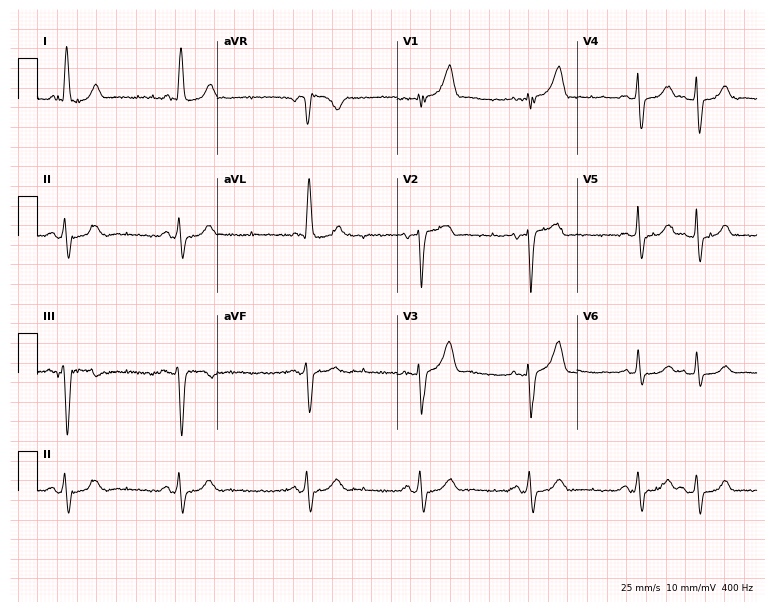
12-lead ECG from an 83-year-old woman (7.3-second recording at 400 Hz). No first-degree AV block, right bundle branch block, left bundle branch block, sinus bradycardia, atrial fibrillation or sinus tachycardia recorded for this tracing. Other findings, if any, are not listed.